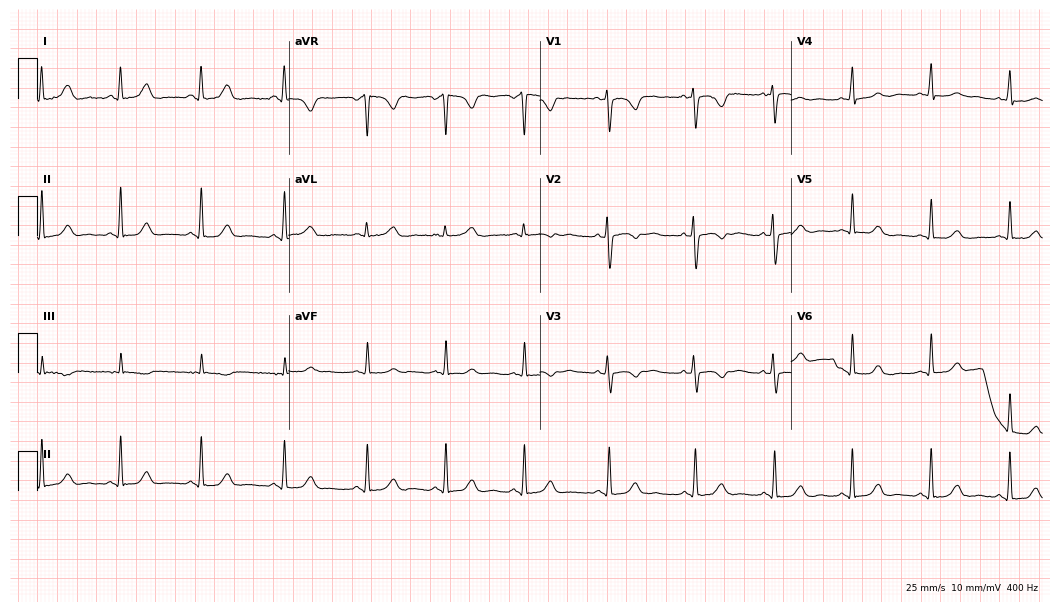
Resting 12-lead electrocardiogram (10.2-second recording at 400 Hz). Patient: a 23-year-old female. None of these six findings is recorded: first-degree AV block, right bundle branch block, left bundle branch block, sinus bradycardia, atrial fibrillation, sinus tachycardia.